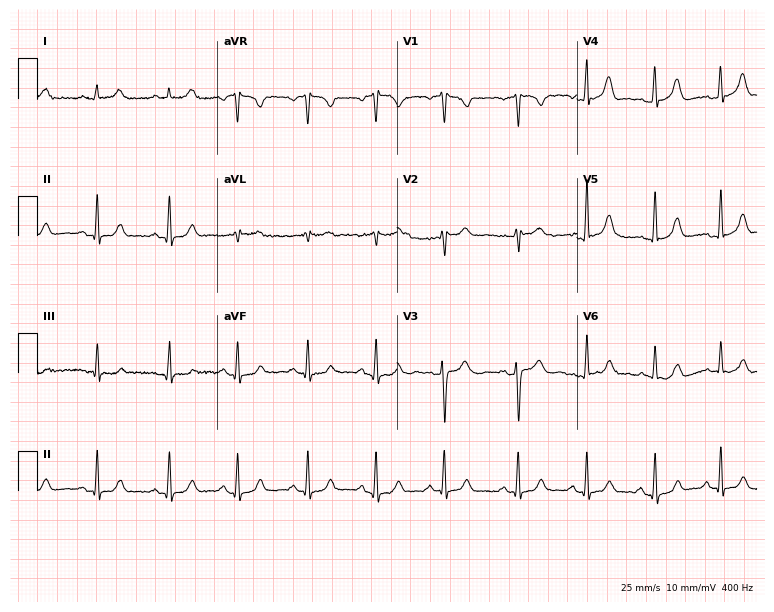
ECG — a female, 49 years old. Labelled as a normal ECG.